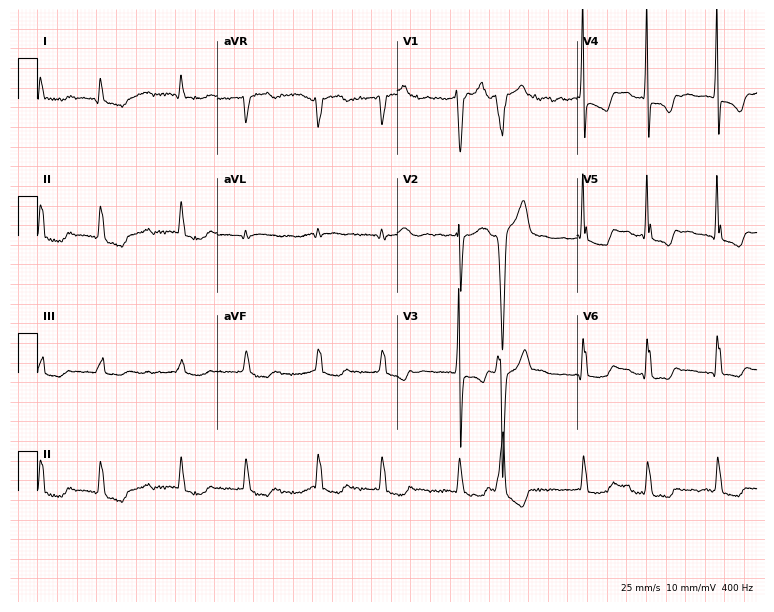
Electrocardiogram, a male patient, 59 years old. Interpretation includes atrial fibrillation.